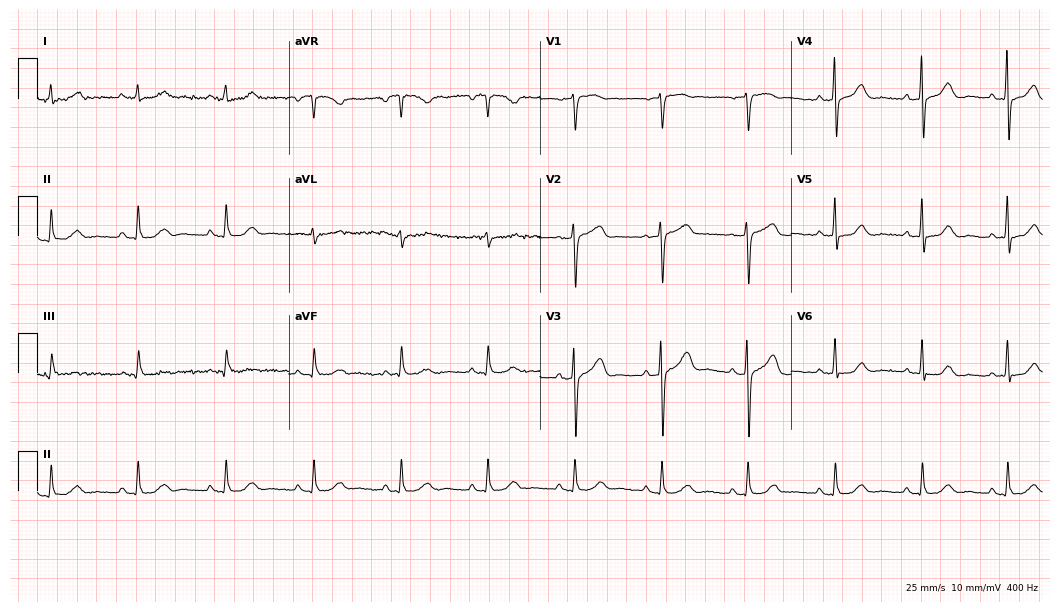
Resting 12-lead electrocardiogram (10.2-second recording at 400 Hz). Patient: a male, 71 years old. Read as a normal ECG.